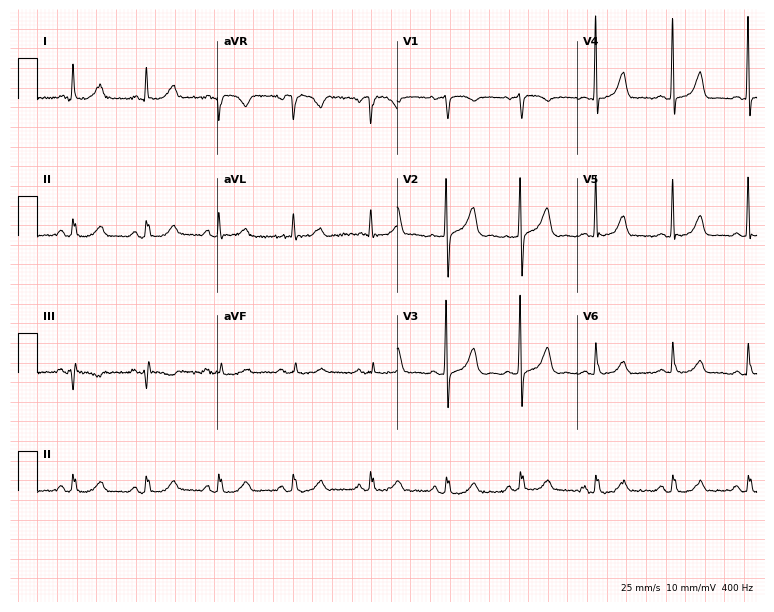
12-lead ECG from a female, 62 years old. Recorded interpretation: within normal limits.